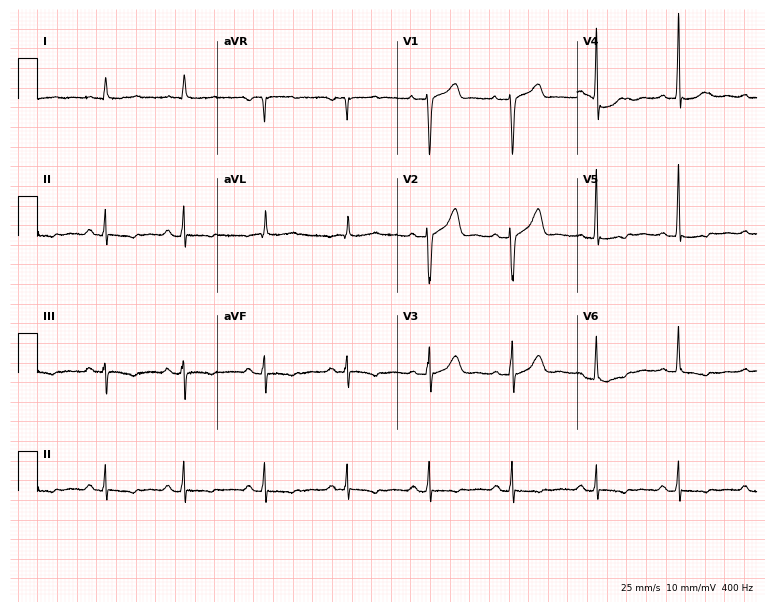
12-lead ECG (7.3-second recording at 400 Hz) from a 69-year-old male patient. Screened for six findings — first-degree AV block, right bundle branch block, left bundle branch block, sinus bradycardia, atrial fibrillation, sinus tachycardia — none is recorded. Findings outside these six are not listed.